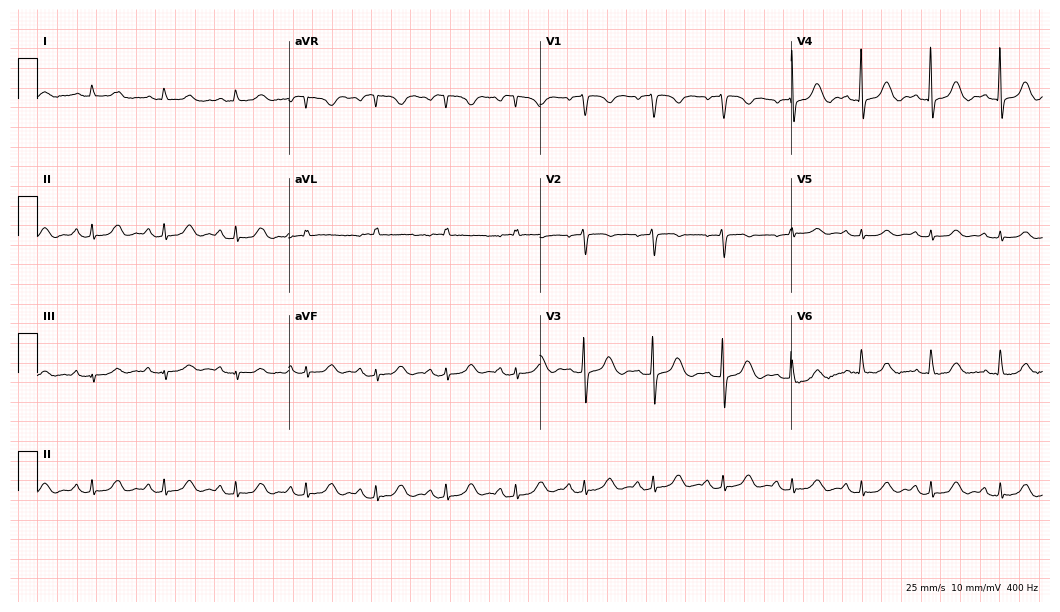
12-lead ECG from a 65-year-old female (10.2-second recording at 400 Hz). Recorded interpretation: within normal limits.